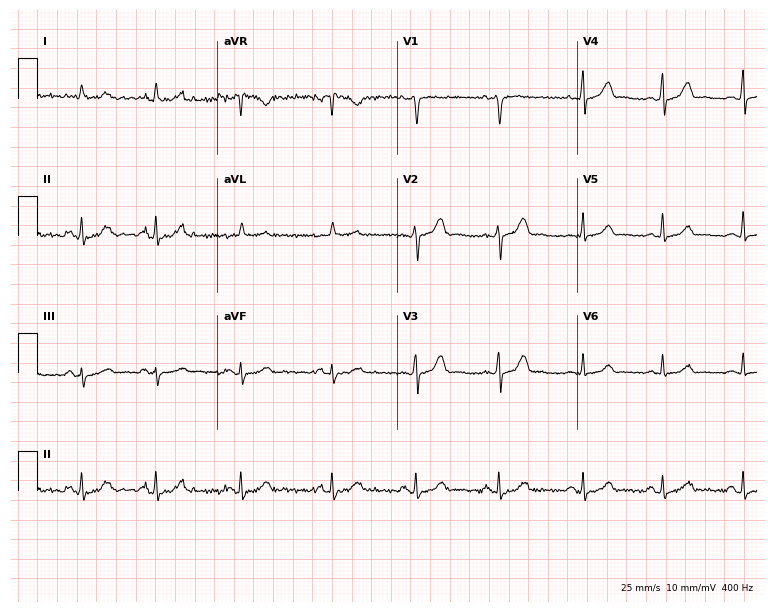
Resting 12-lead electrocardiogram. Patient: a female, 32 years old. Read as a normal ECG.